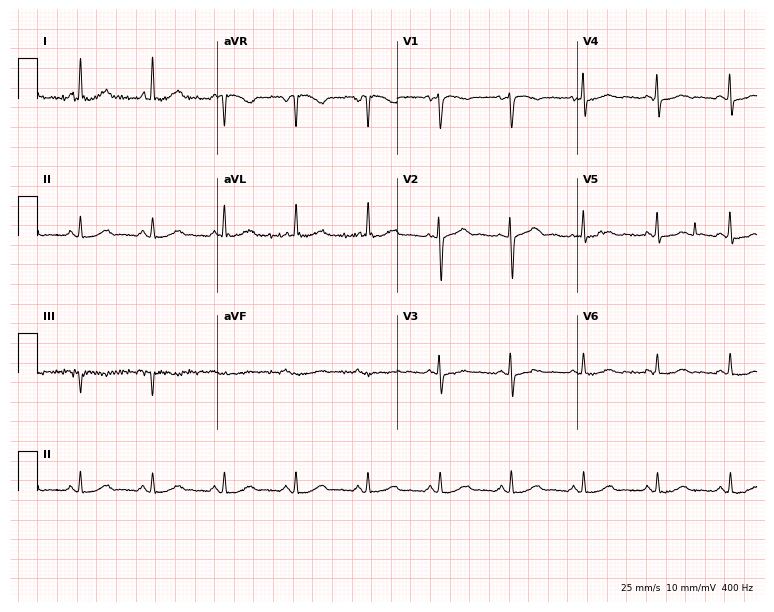
Electrocardiogram, a female patient, 56 years old. Overall reading on record: normal ECG.